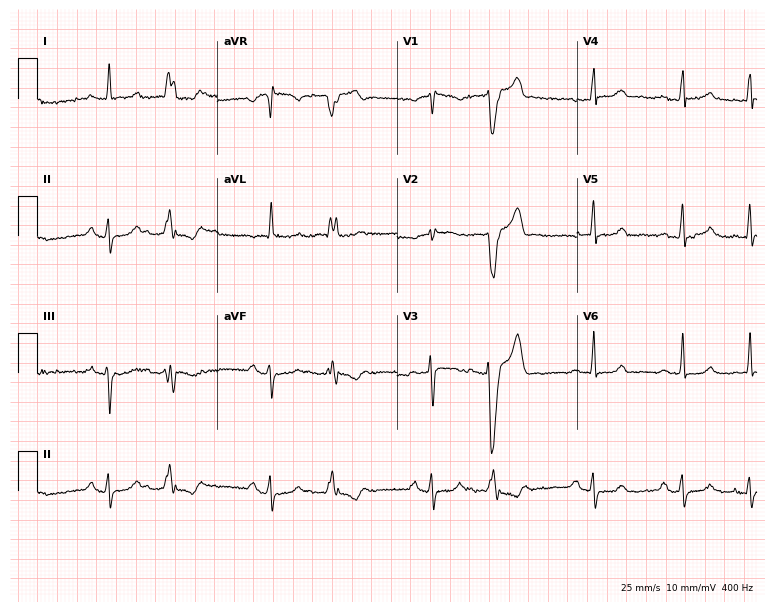
12-lead ECG (7.3-second recording at 400 Hz) from a 77-year-old female. Findings include atrial fibrillation.